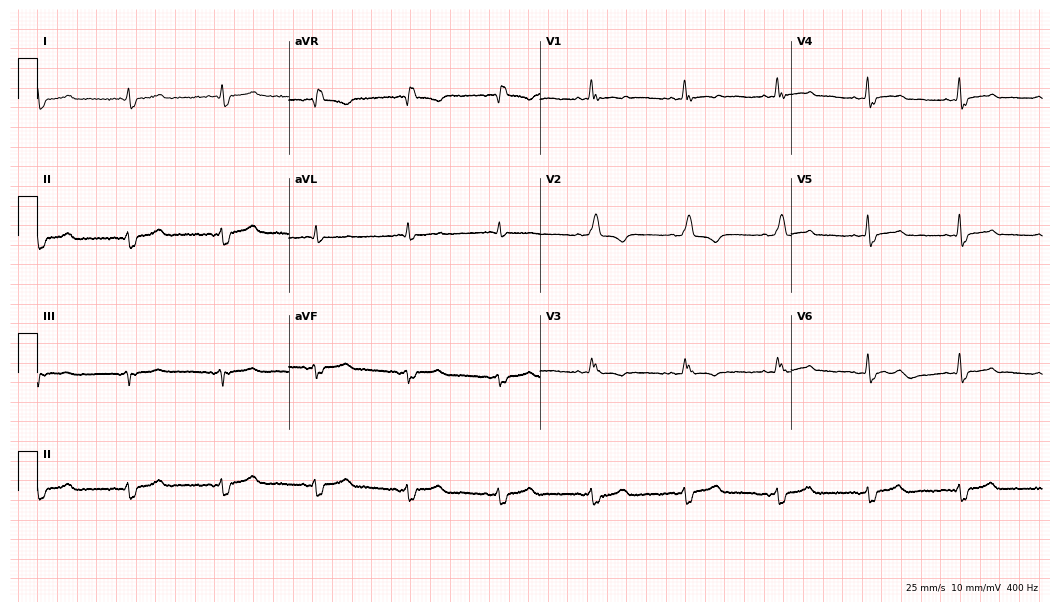
Electrocardiogram, a 69-year-old female. Interpretation includes right bundle branch block.